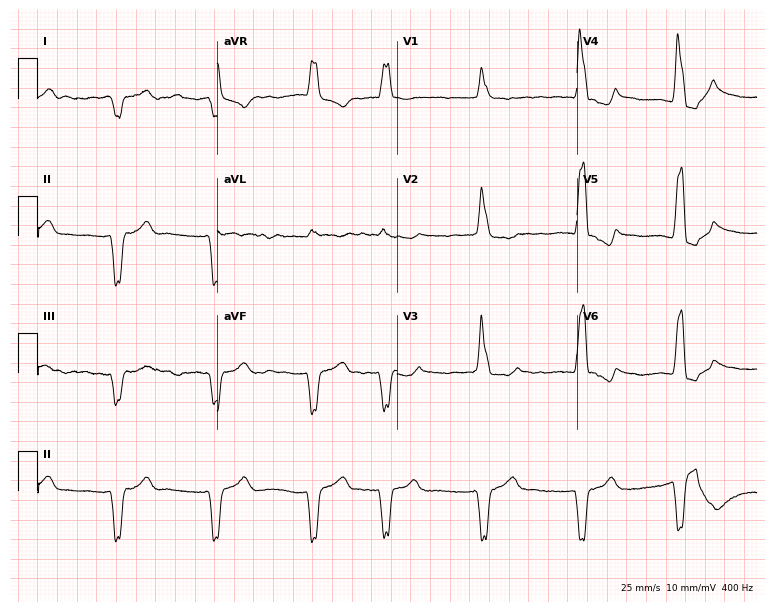
12-lead ECG from a 68-year-old male (7.3-second recording at 400 Hz). No first-degree AV block, right bundle branch block (RBBB), left bundle branch block (LBBB), sinus bradycardia, atrial fibrillation (AF) or sinus tachycardia recorded for this tracing.